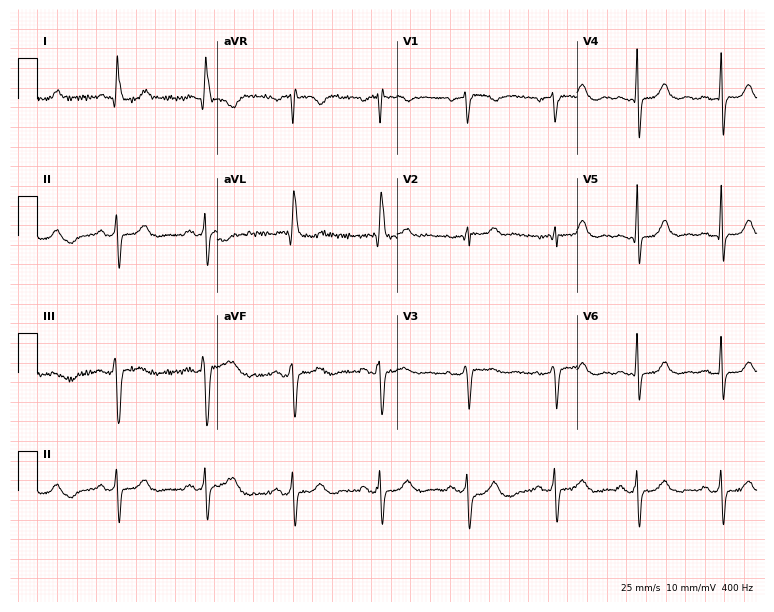
Electrocardiogram (7.3-second recording at 400 Hz), a woman, 65 years old. Of the six screened findings (first-degree AV block, right bundle branch block (RBBB), left bundle branch block (LBBB), sinus bradycardia, atrial fibrillation (AF), sinus tachycardia), none is recorded.